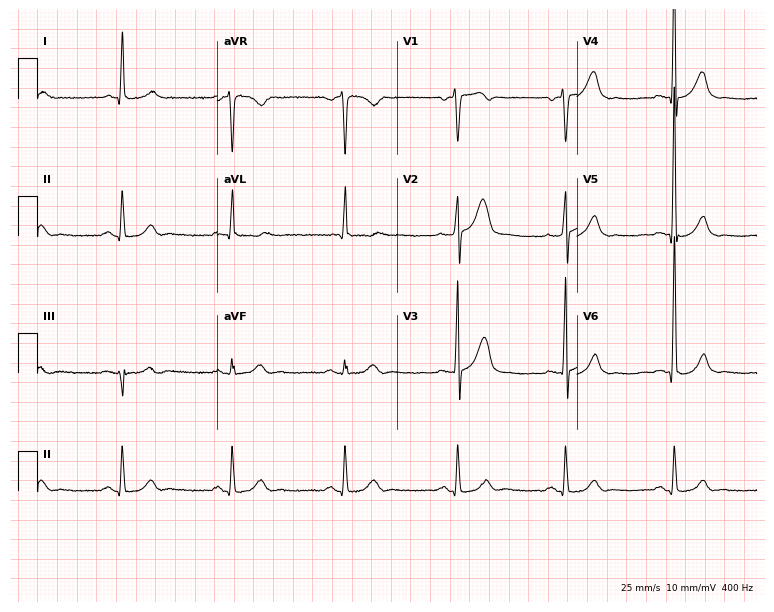
Standard 12-lead ECG recorded from a 63-year-old male patient (7.3-second recording at 400 Hz). Read as a normal ECG.